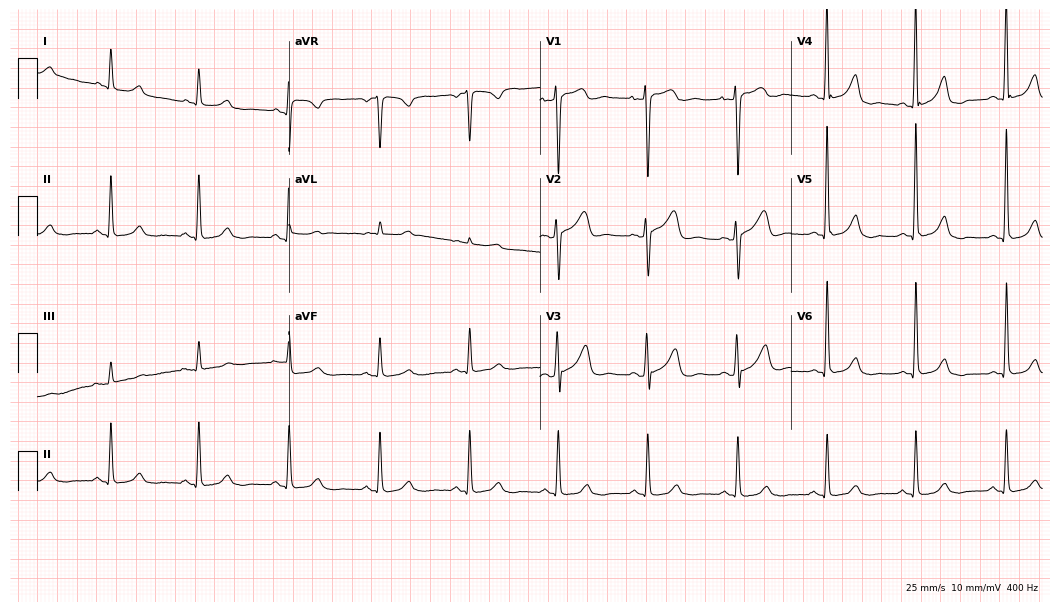
ECG — a woman, 63 years old. Labelled as a normal ECG.